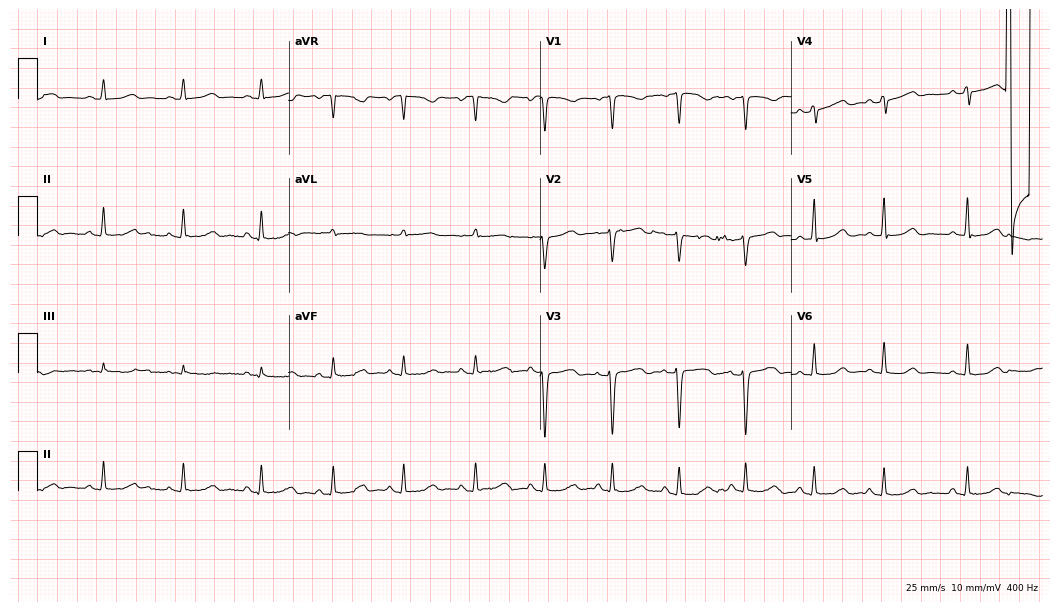
Resting 12-lead electrocardiogram (10.2-second recording at 400 Hz). Patient: a 46-year-old female. None of these six findings is recorded: first-degree AV block, right bundle branch block, left bundle branch block, sinus bradycardia, atrial fibrillation, sinus tachycardia. Findings outside these six are not listed.